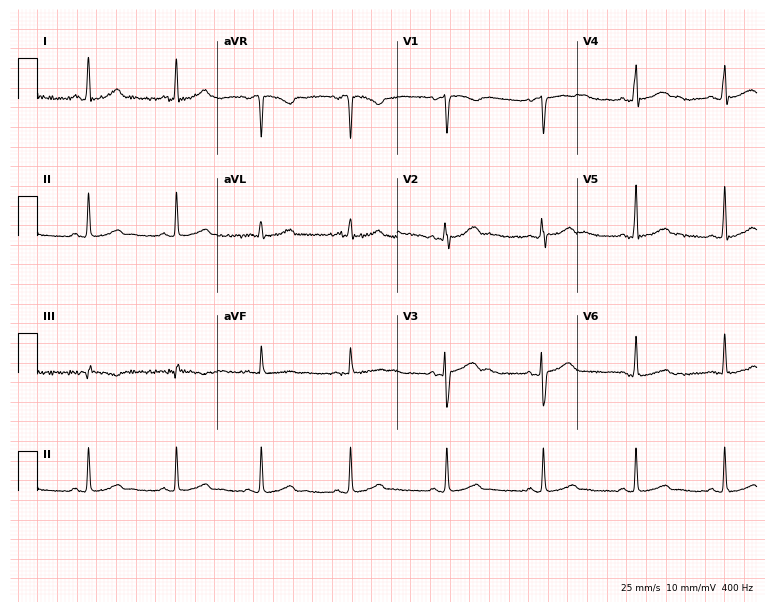
Resting 12-lead electrocardiogram. Patient: a 26-year-old female. Read as a normal ECG.